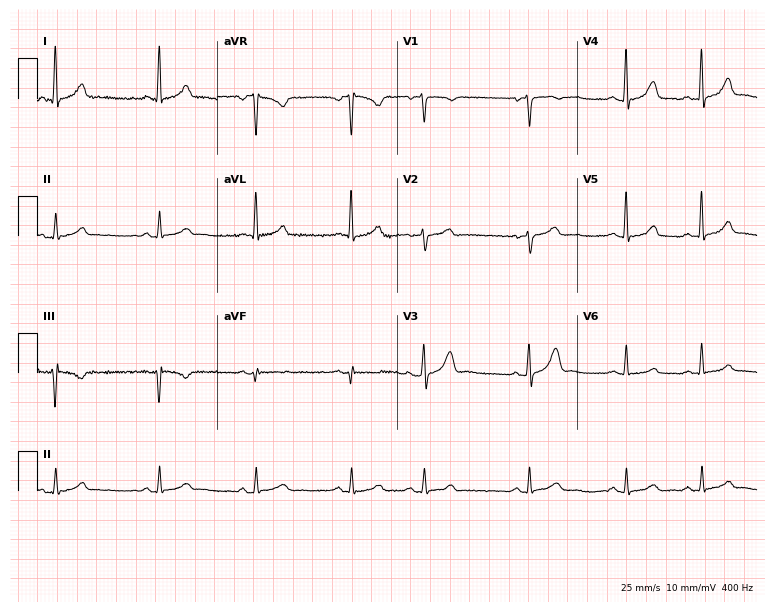
Standard 12-lead ECG recorded from a female, 56 years old (7.3-second recording at 400 Hz). Read as a normal ECG.